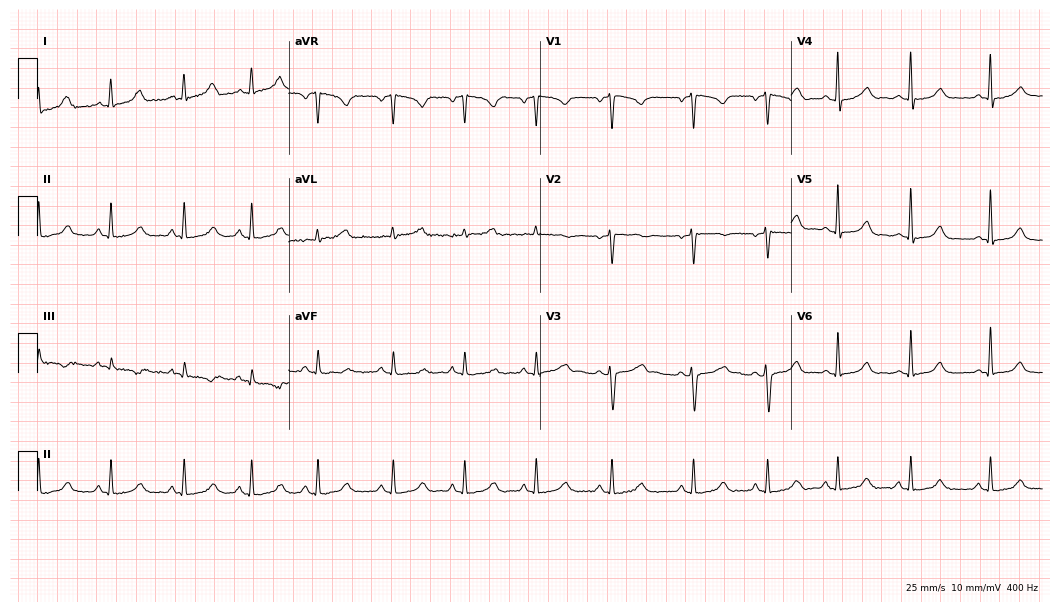
Electrocardiogram (10.2-second recording at 400 Hz), a woman, 27 years old. Of the six screened findings (first-degree AV block, right bundle branch block, left bundle branch block, sinus bradycardia, atrial fibrillation, sinus tachycardia), none is recorded.